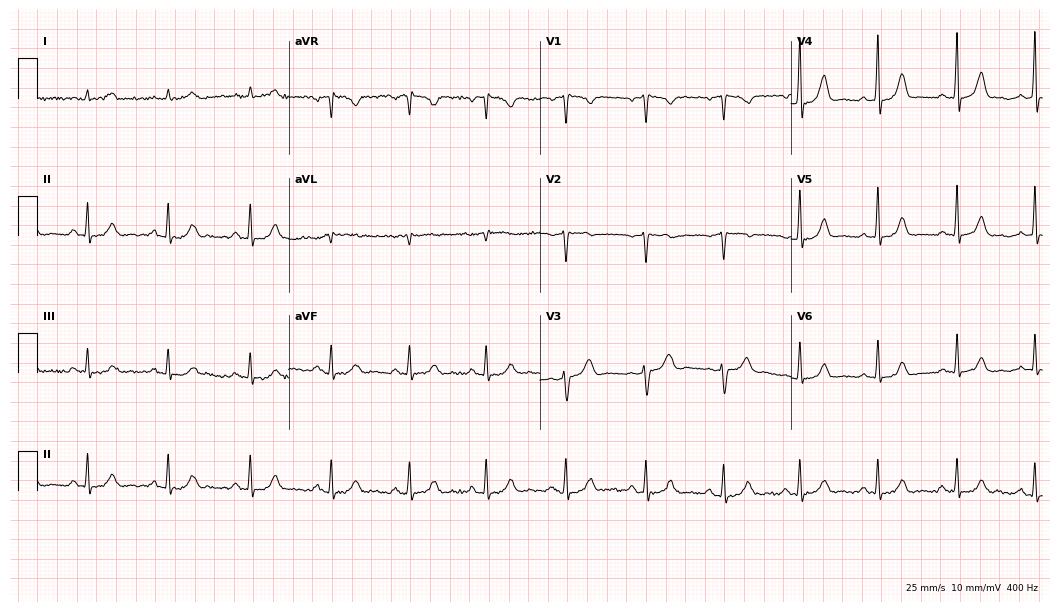
Resting 12-lead electrocardiogram. Patient: a female, 26 years old. Read as a normal ECG.